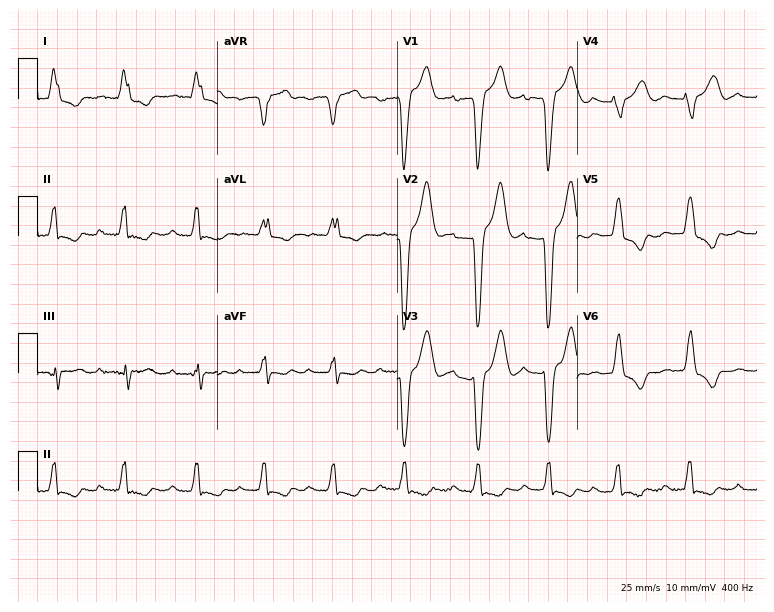
Electrocardiogram (7.3-second recording at 400 Hz), a woman, 85 years old. Interpretation includes first-degree AV block, left bundle branch block (LBBB).